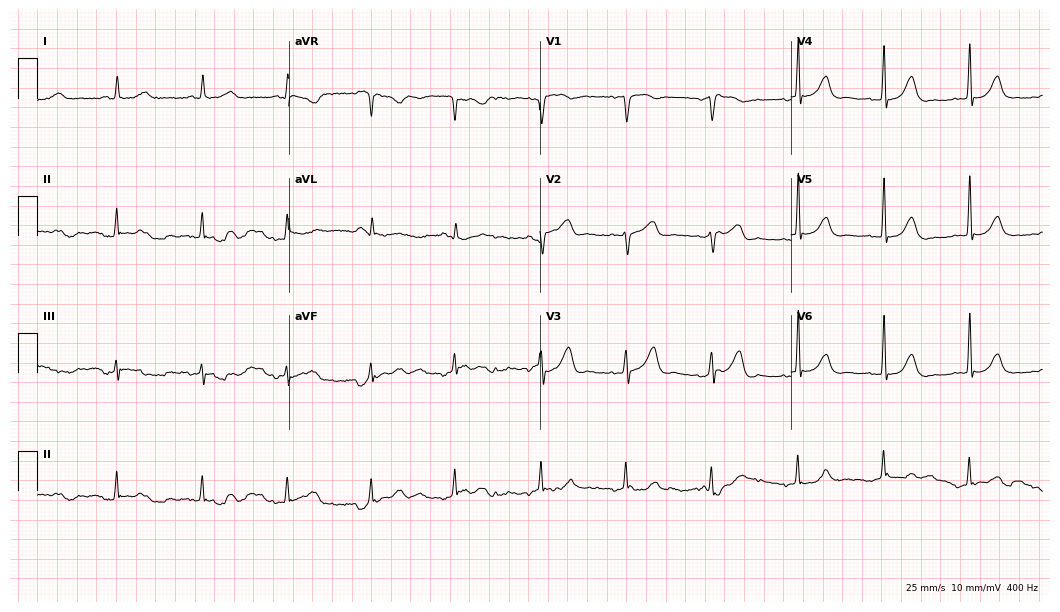
12-lead ECG from a female patient, 80 years old. Recorded interpretation: within normal limits.